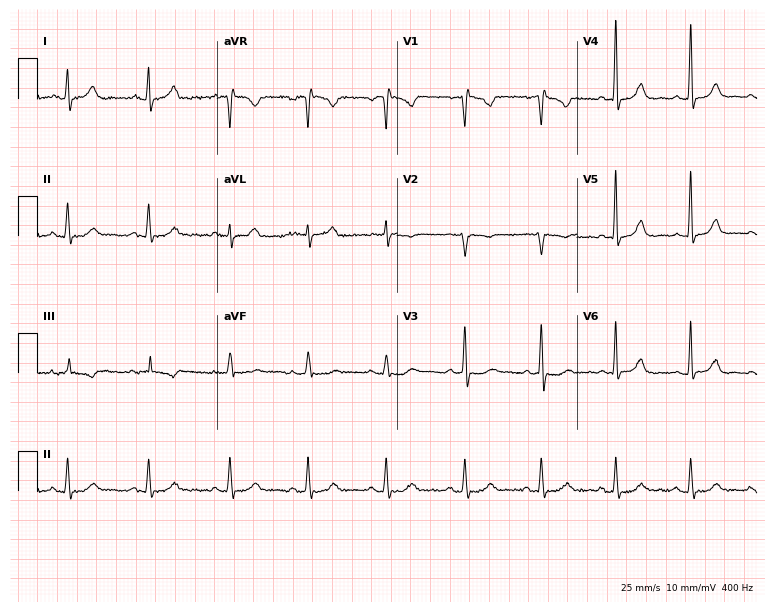
12-lead ECG from a 37-year-old female (7.3-second recording at 400 Hz). No first-degree AV block, right bundle branch block, left bundle branch block, sinus bradycardia, atrial fibrillation or sinus tachycardia recorded for this tracing. Only these six findings were labelled.